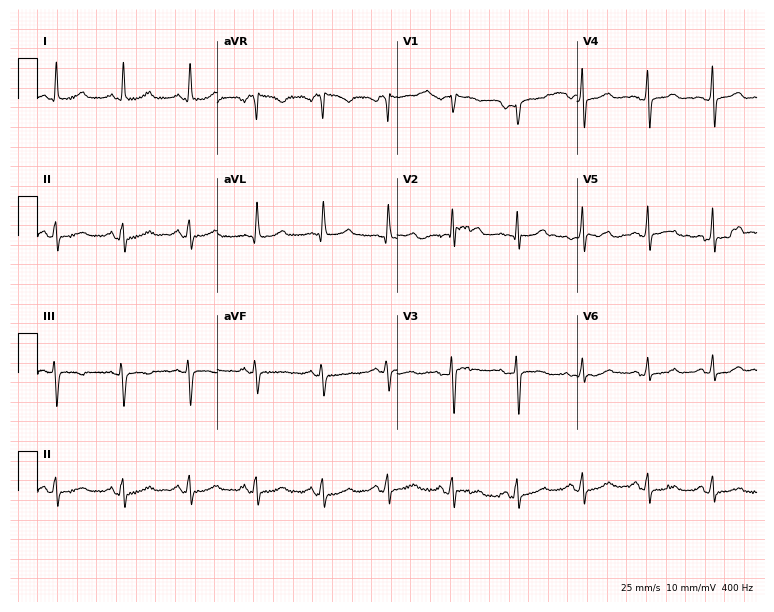
Electrocardiogram, a female patient, 65 years old. Overall reading on record: normal ECG.